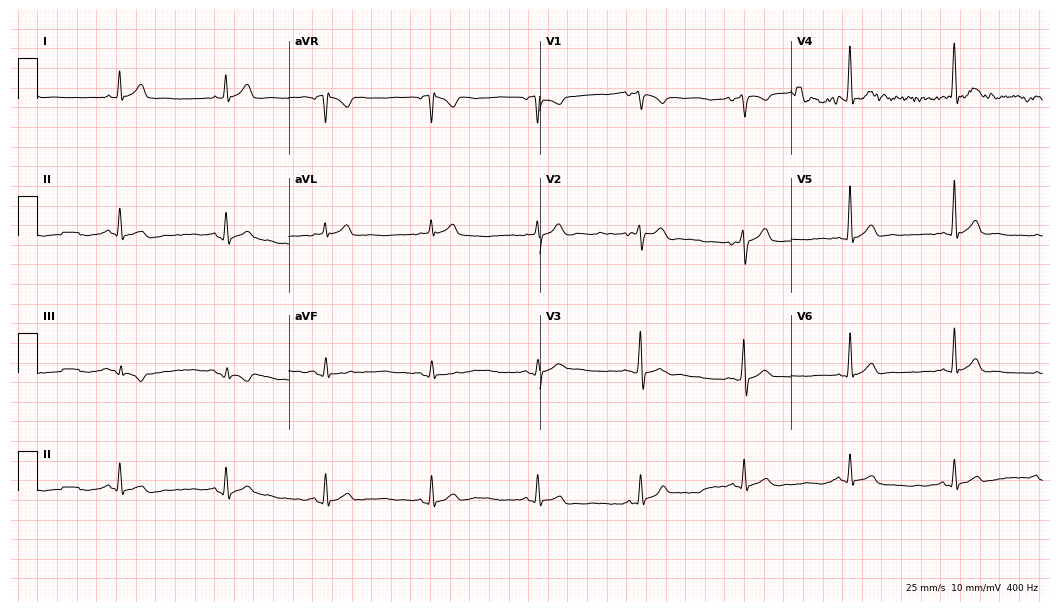
Standard 12-lead ECG recorded from a man, 23 years old. Read as a normal ECG.